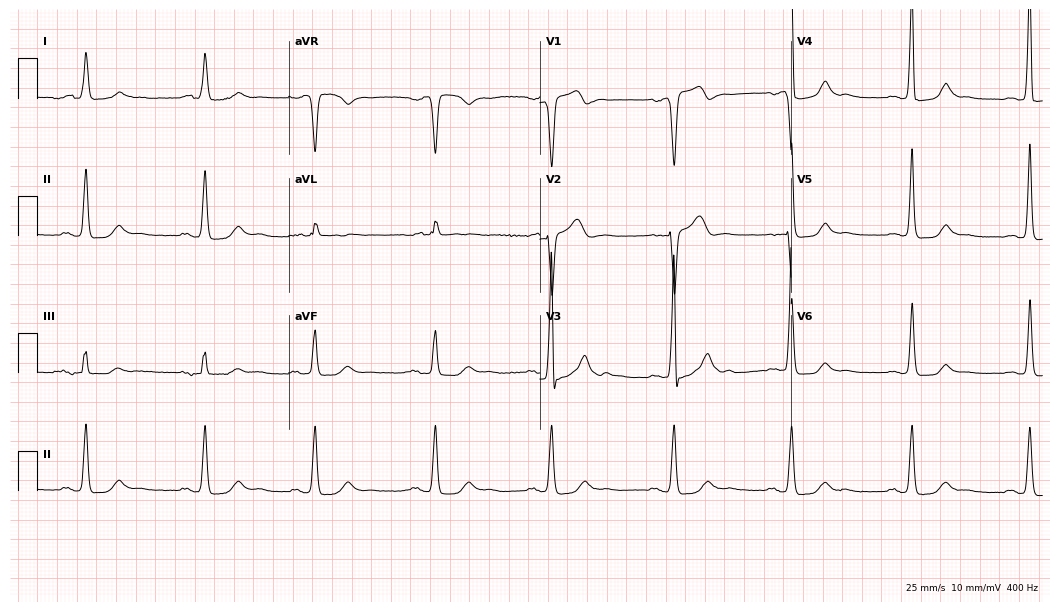
Electrocardiogram (10.2-second recording at 400 Hz), a male patient, 60 years old. Interpretation includes first-degree AV block, left bundle branch block, sinus bradycardia (a sinus rate of 50 beats per minute or less).